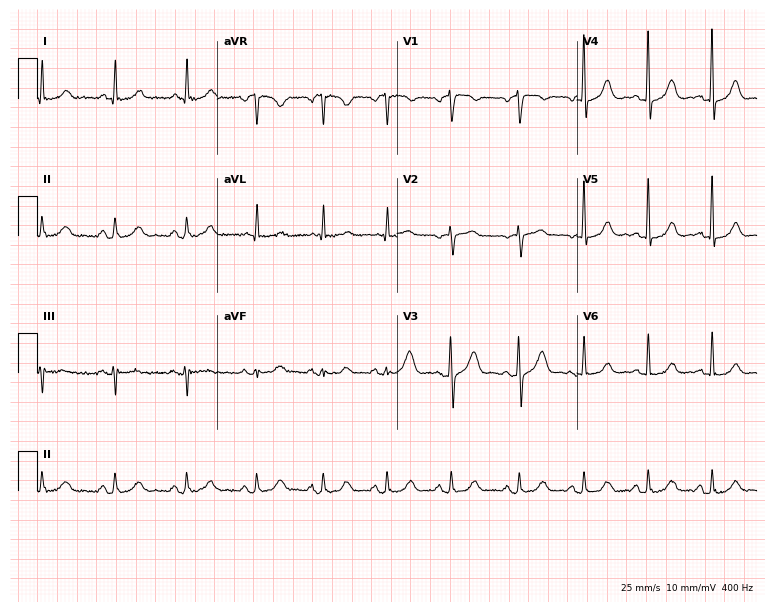
12-lead ECG from a woman, 69 years old (7.3-second recording at 400 Hz). Recorded interpretation: within normal limits.